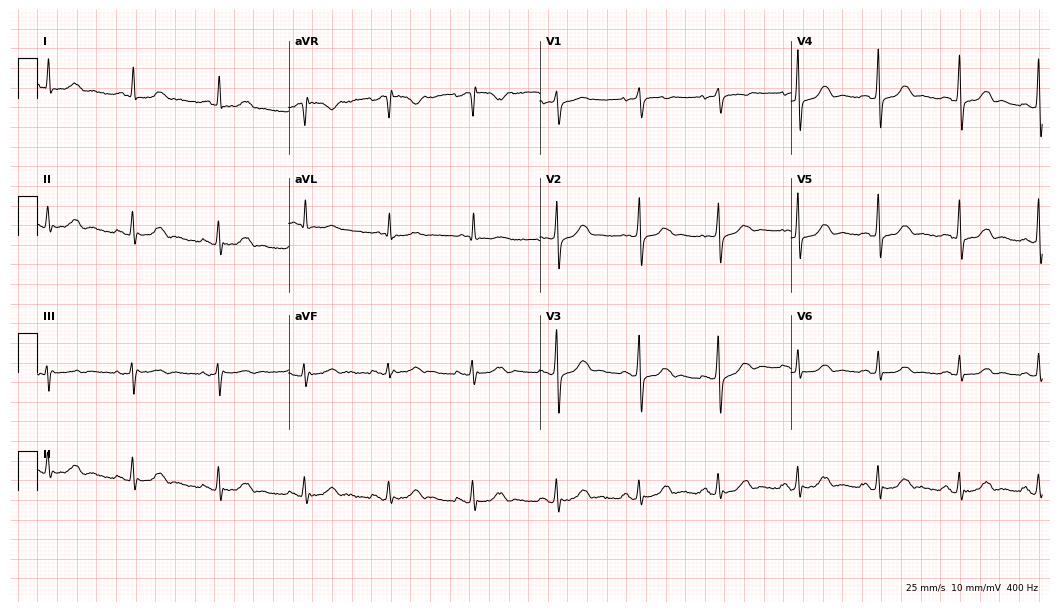
12-lead ECG from a 77-year-old woman. Recorded interpretation: within normal limits.